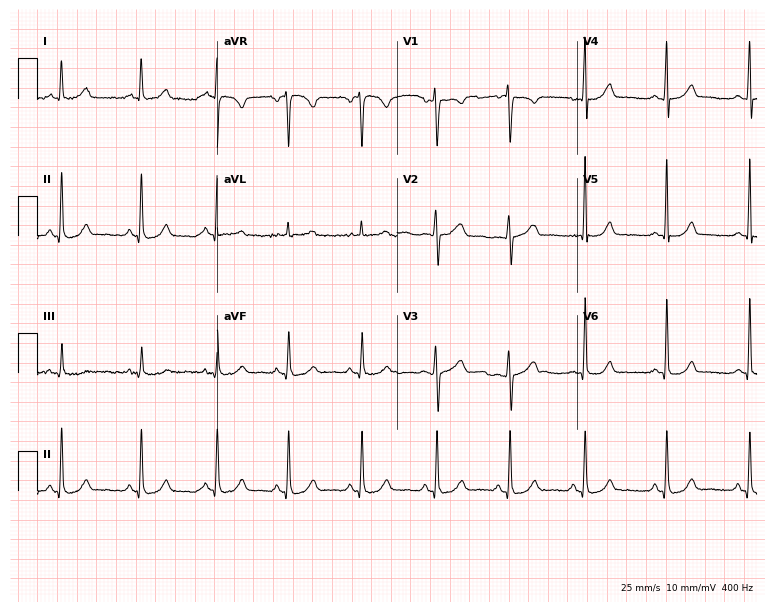
ECG — a 23-year-old female. Labelled as a normal ECG.